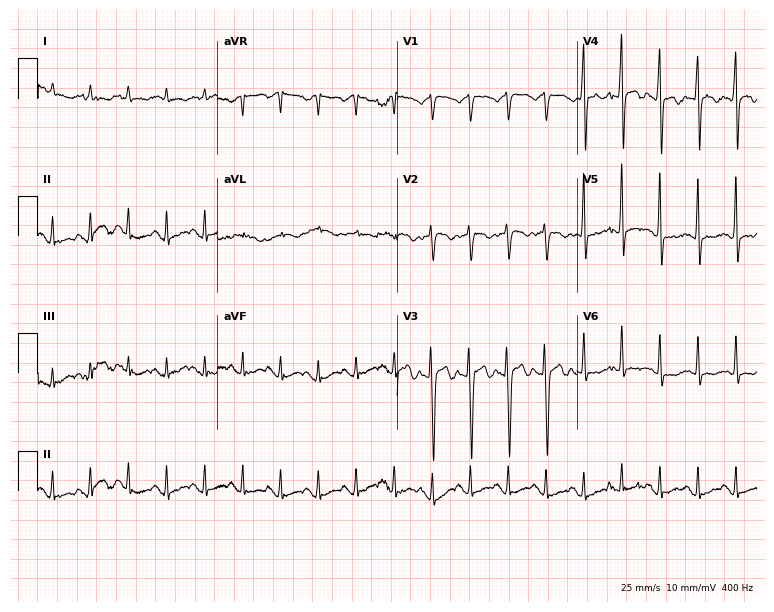
Standard 12-lead ECG recorded from a male patient, 35 years old (7.3-second recording at 400 Hz). The tracing shows sinus tachycardia (a sinus rate of 100 beats per minute or more).